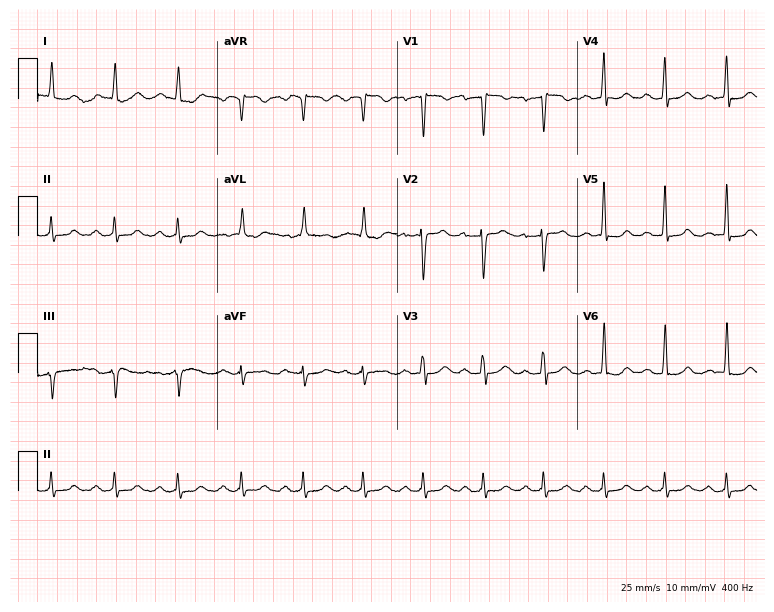
ECG — a woman, 45 years old. Findings include first-degree AV block.